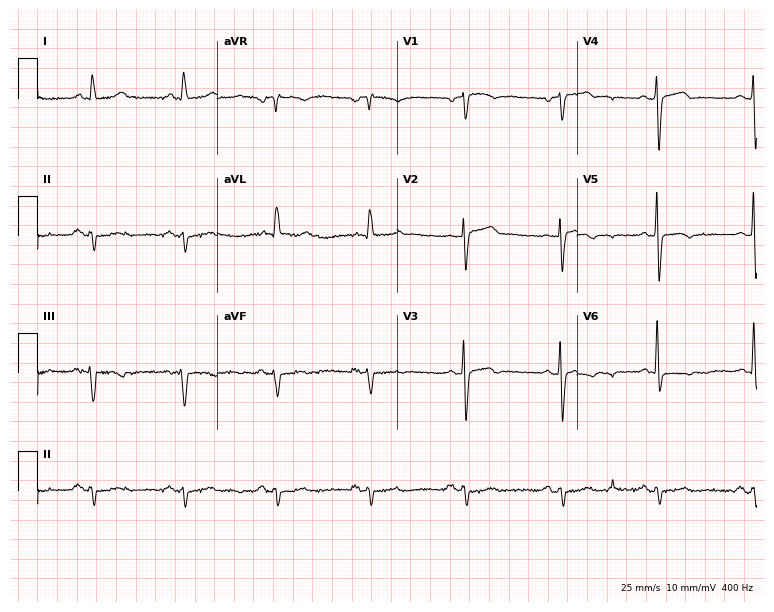
Standard 12-lead ECG recorded from an 82-year-old male. None of these six findings is recorded: first-degree AV block, right bundle branch block, left bundle branch block, sinus bradycardia, atrial fibrillation, sinus tachycardia. Only these six findings were labelled.